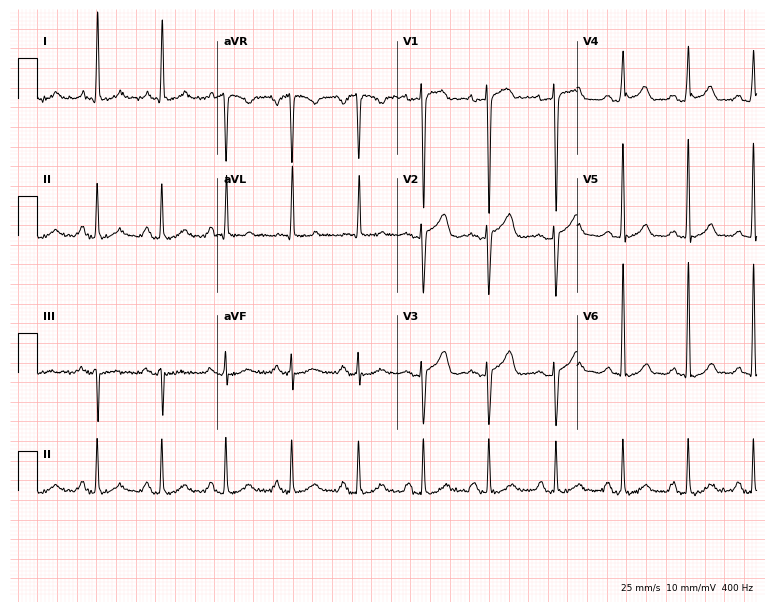
Standard 12-lead ECG recorded from a 50-year-old woman (7.3-second recording at 400 Hz). None of these six findings is recorded: first-degree AV block, right bundle branch block (RBBB), left bundle branch block (LBBB), sinus bradycardia, atrial fibrillation (AF), sinus tachycardia. Findings outside these six are not listed.